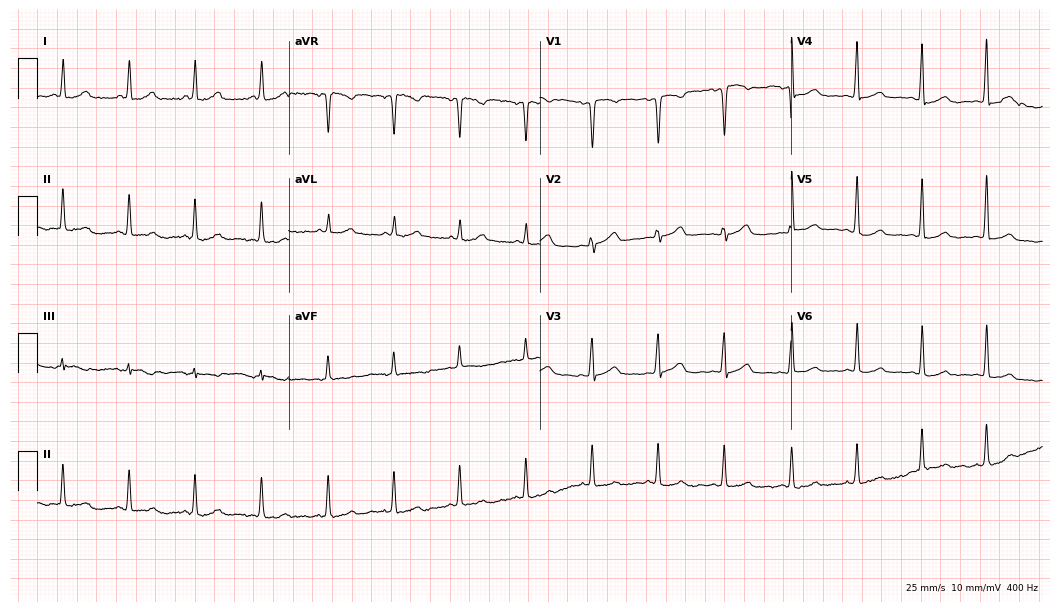
ECG — a 44-year-old woman. Screened for six findings — first-degree AV block, right bundle branch block, left bundle branch block, sinus bradycardia, atrial fibrillation, sinus tachycardia — none is recorded.